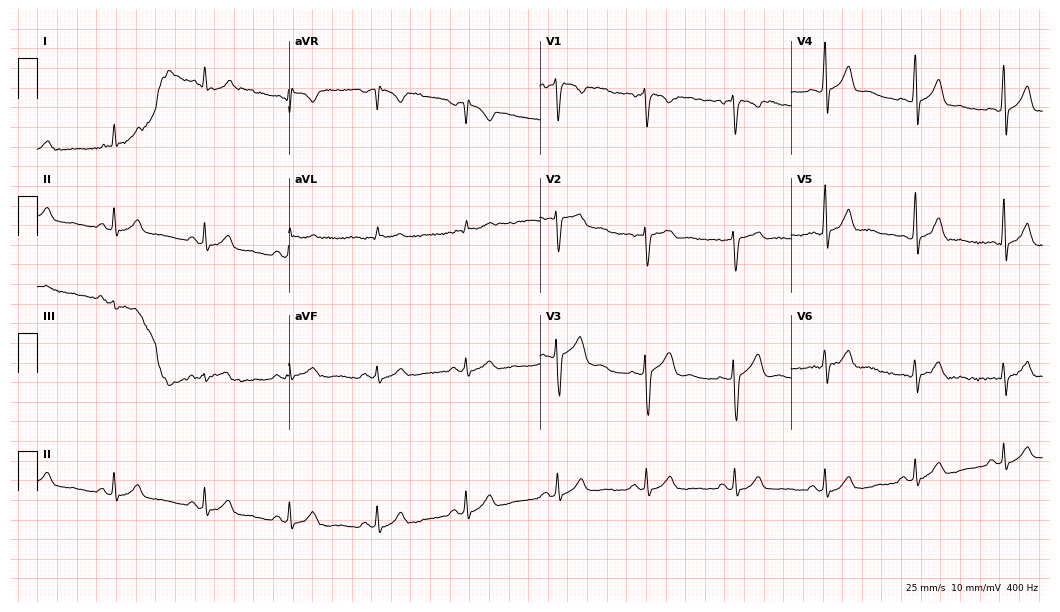
Resting 12-lead electrocardiogram. Patient: a 30-year-old male. Read as a normal ECG.